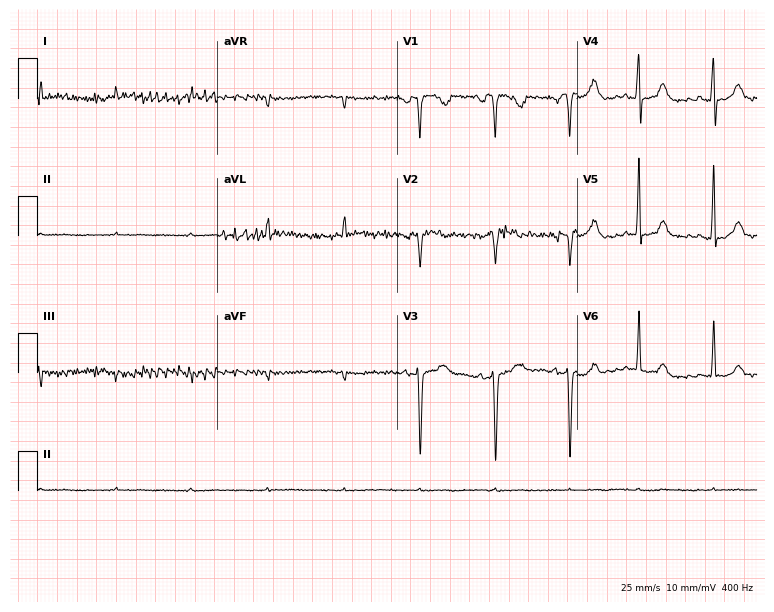
Electrocardiogram, a 69-year-old woman. Of the six screened findings (first-degree AV block, right bundle branch block, left bundle branch block, sinus bradycardia, atrial fibrillation, sinus tachycardia), none is recorded.